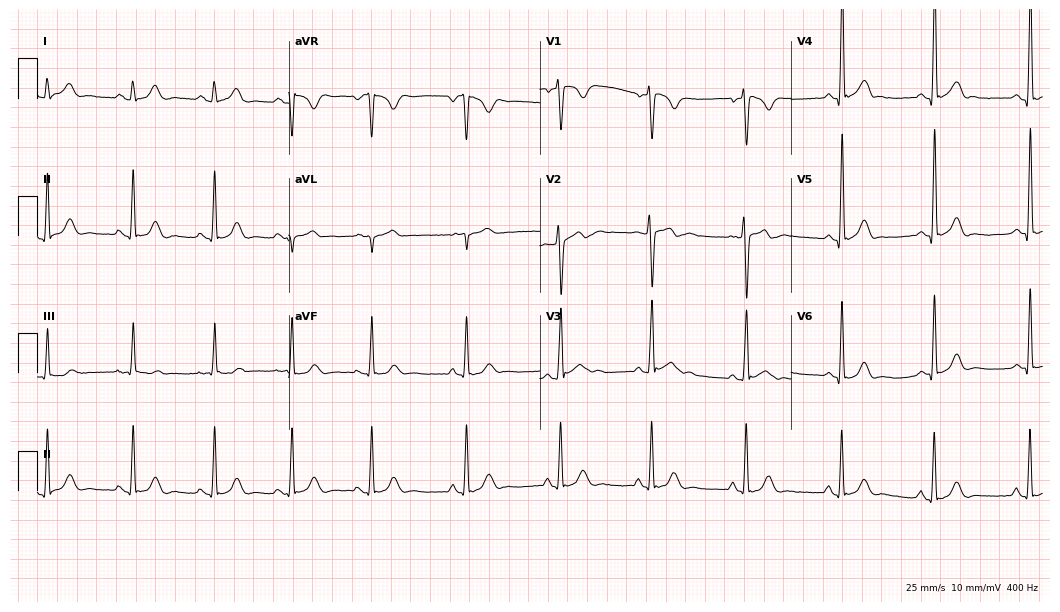
ECG — a male patient, 17 years old. Labelled as a normal ECG.